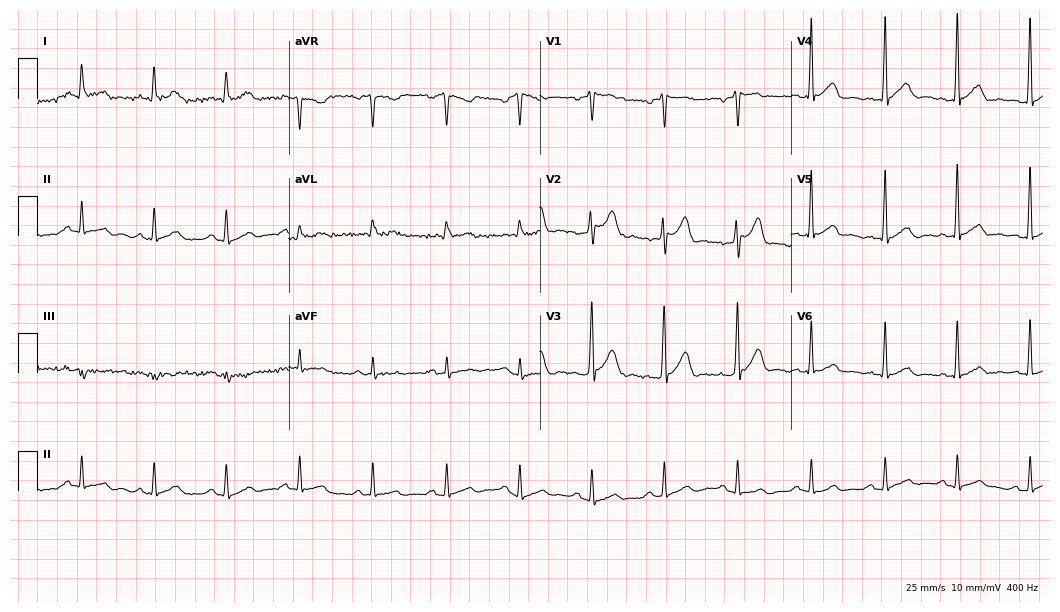
ECG (10.2-second recording at 400 Hz) — a male, 46 years old. Labelled as a normal ECG.